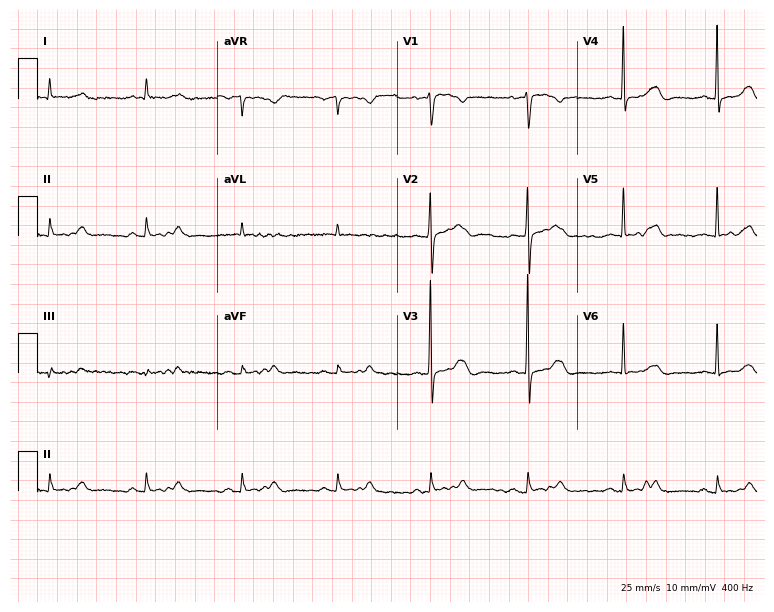
Standard 12-lead ECG recorded from a 77-year-old female patient. Read as a normal ECG.